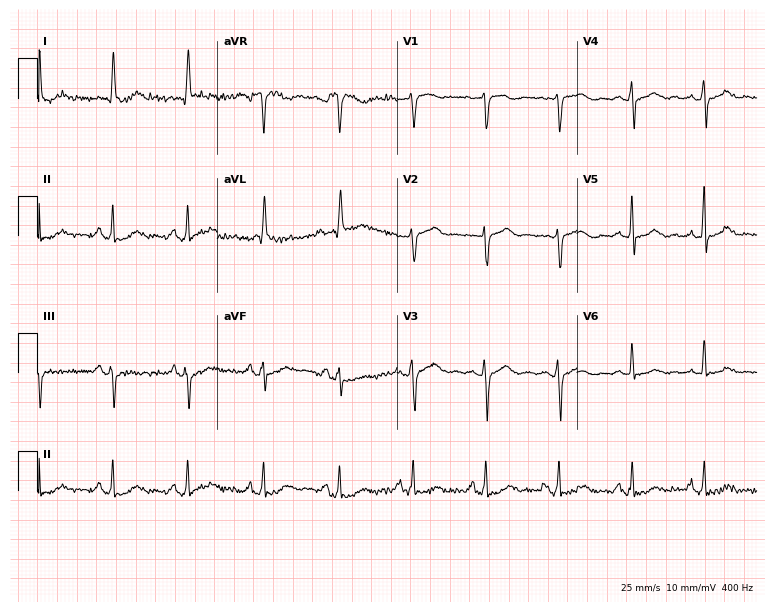
Electrocardiogram, a 68-year-old woman. Overall reading on record: normal ECG.